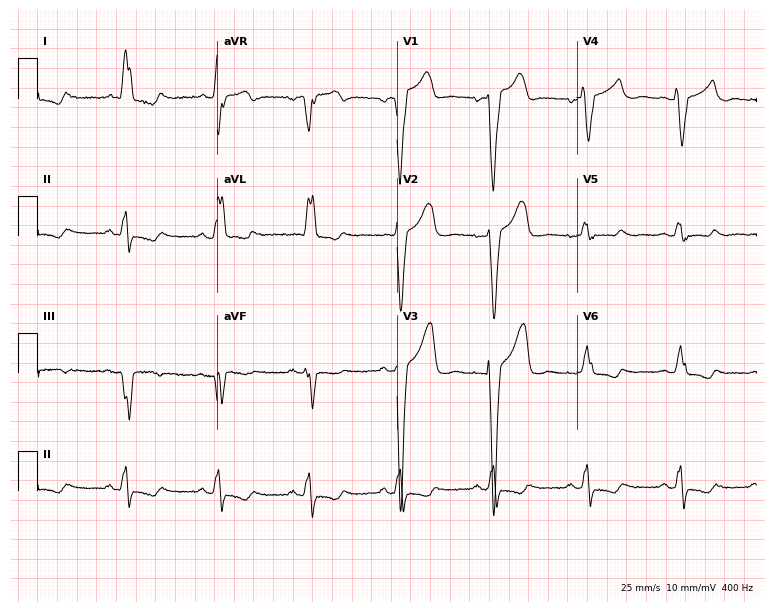
ECG (7.3-second recording at 400 Hz) — a female, 59 years old. Screened for six findings — first-degree AV block, right bundle branch block, left bundle branch block, sinus bradycardia, atrial fibrillation, sinus tachycardia — none is recorded. Findings outside these six are not listed.